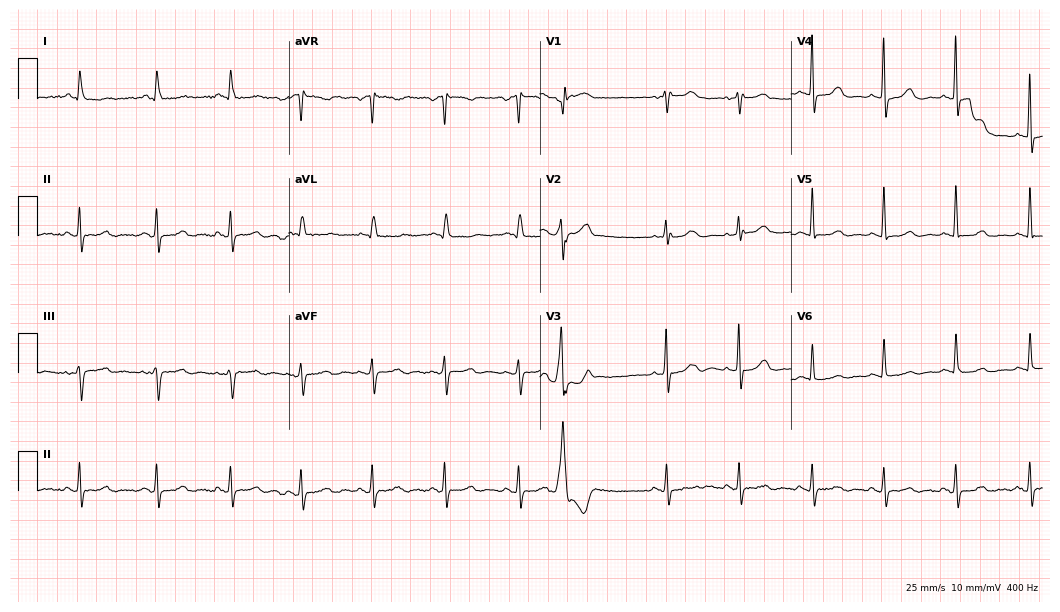
12-lead ECG (10.2-second recording at 400 Hz) from an 80-year-old female patient. Screened for six findings — first-degree AV block, right bundle branch block, left bundle branch block, sinus bradycardia, atrial fibrillation, sinus tachycardia — none is recorded. Findings outside these six are not listed.